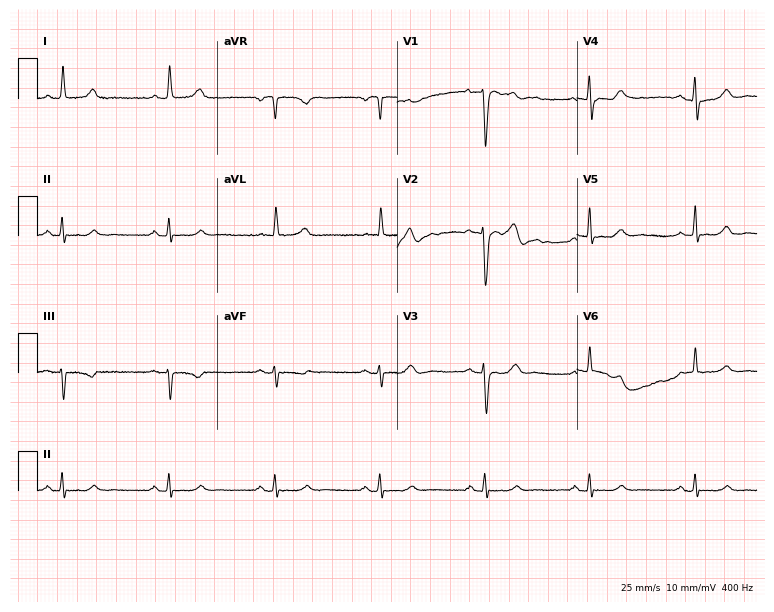
Standard 12-lead ECG recorded from a 58-year-old female patient (7.3-second recording at 400 Hz). None of these six findings is recorded: first-degree AV block, right bundle branch block (RBBB), left bundle branch block (LBBB), sinus bradycardia, atrial fibrillation (AF), sinus tachycardia.